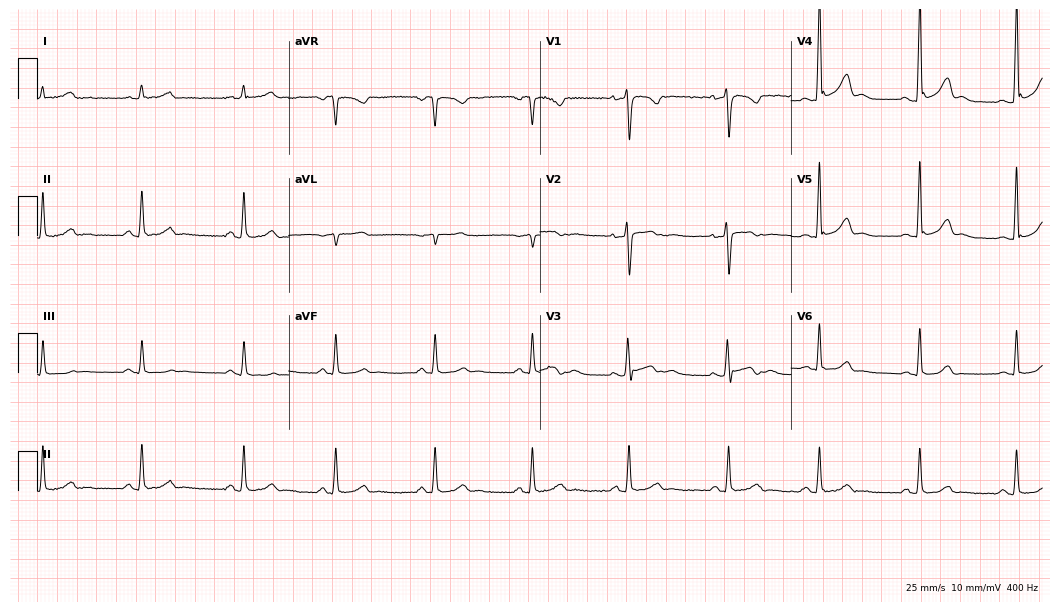
12-lead ECG from a woman, 26 years old. Recorded interpretation: within normal limits.